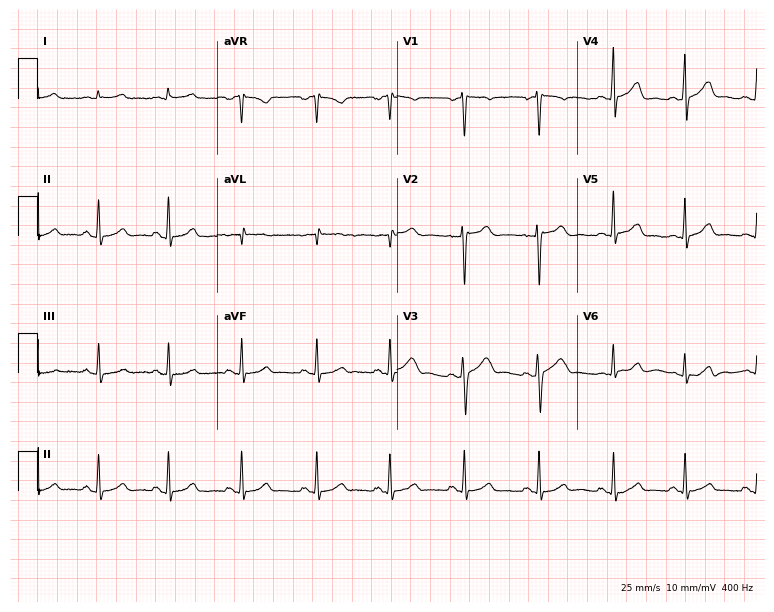
Standard 12-lead ECG recorded from a man, 37 years old (7.3-second recording at 400 Hz). None of these six findings is recorded: first-degree AV block, right bundle branch block, left bundle branch block, sinus bradycardia, atrial fibrillation, sinus tachycardia.